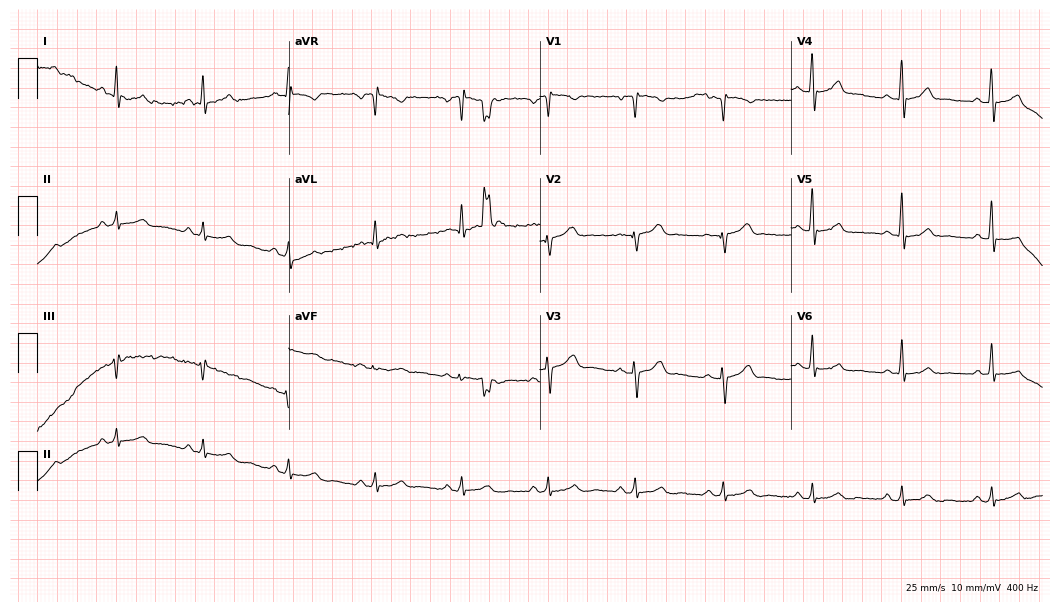
Resting 12-lead electrocardiogram (10.2-second recording at 400 Hz). Patient: a 53-year-old man. None of these six findings is recorded: first-degree AV block, right bundle branch block, left bundle branch block, sinus bradycardia, atrial fibrillation, sinus tachycardia.